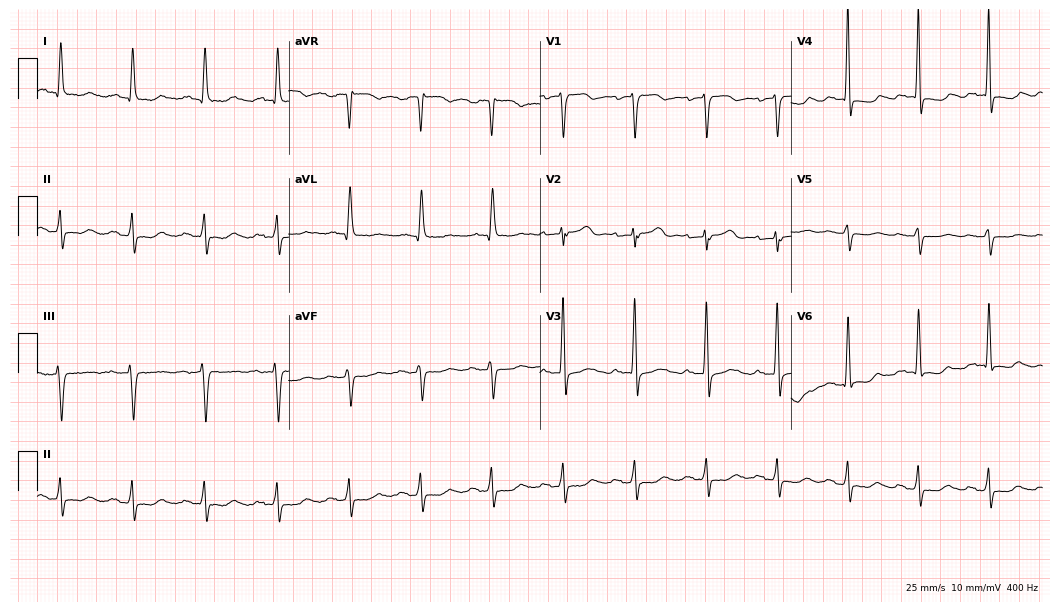
Standard 12-lead ECG recorded from a female, 84 years old. Read as a normal ECG.